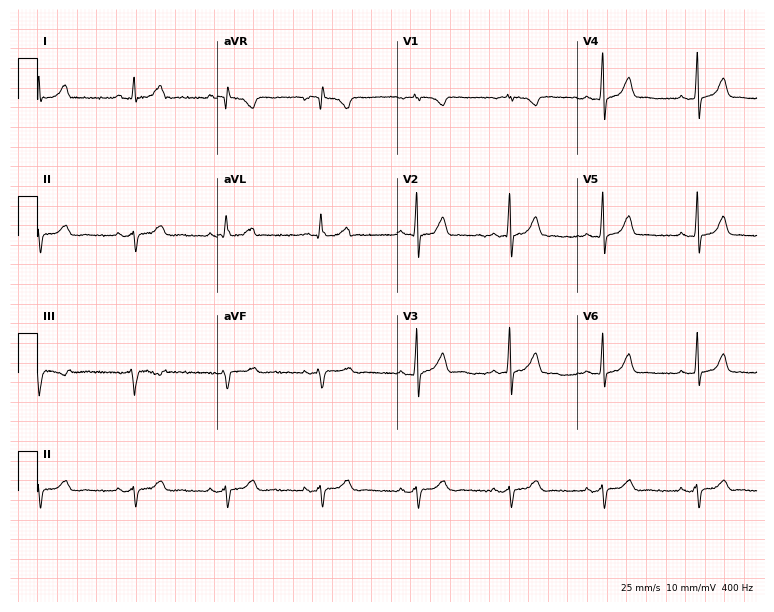
Electrocardiogram (7.3-second recording at 400 Hz), a 27-year-old female patient. Overall reading on record: normal ECG.